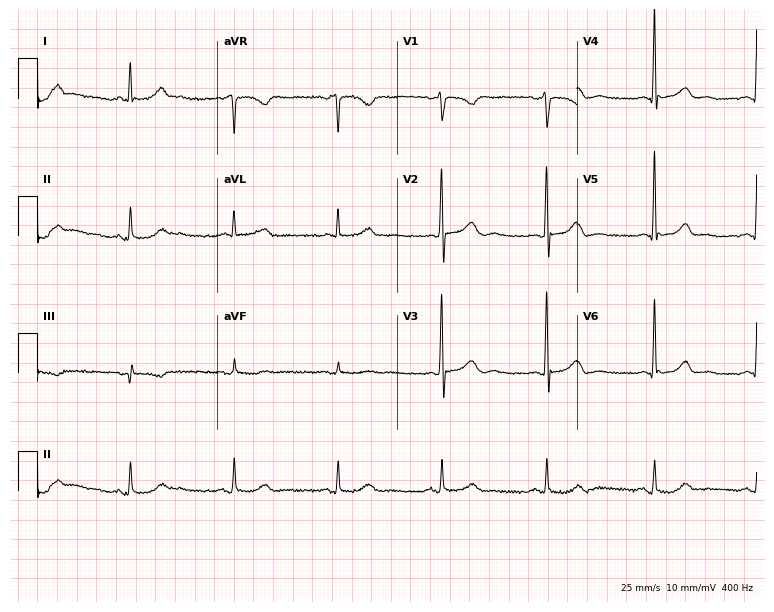
12-lead ECG from a female patient, 66 years old. Recorded interpretation: within normal limits.